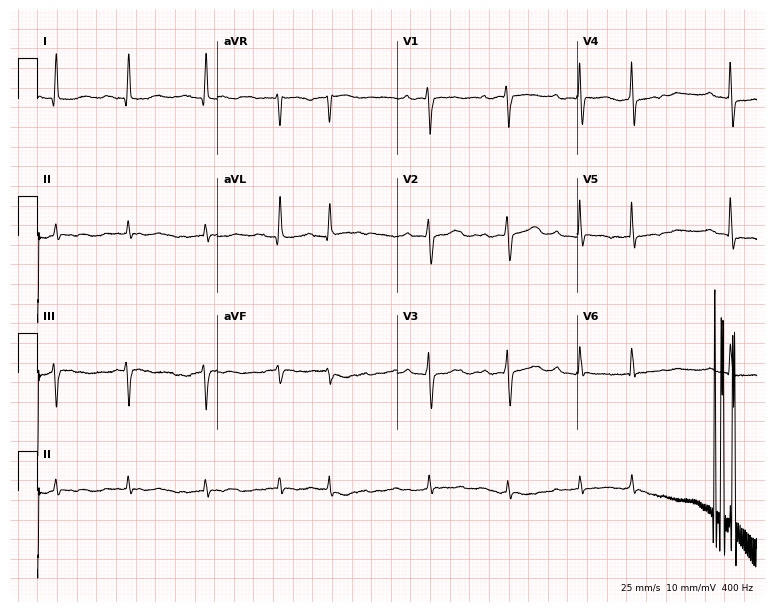
ECG (7.3-second recording at 400 Hz) — a female, 79 years old. Screened for six findings — first-degree AV block, right bundle branch block, left bundle branch block, sinus bradycardia, atrial fibrillation, sinus tachycardia — none is recorded.